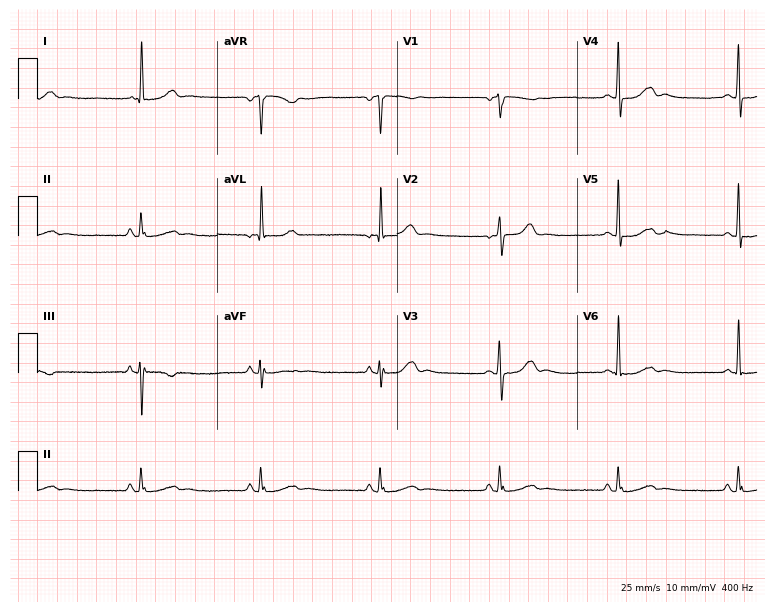
Standard 12-lead ECG recorded from a woman, 80 years old (7.3-second recording at 400 Hz). The tracing shows sinus bradycardia (a sinus rate of 50 beats per minute or less).